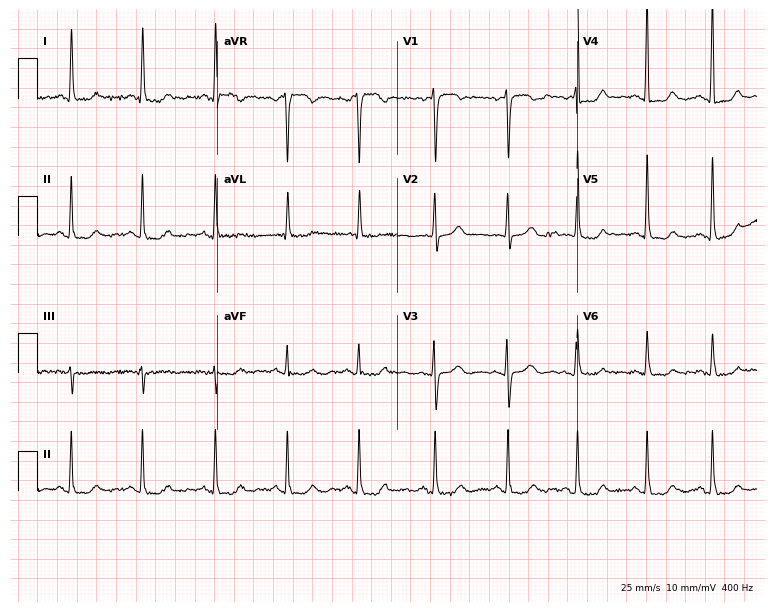
Electrocardiogram (7.3-second recording at 400 Hz), a 74-year-old woman. Of the six screened findings (first-degree AV block, right bundle branch block (RBBB), left bundle branch block (LBBB), sinus bradycardia, atrial fibrillation (AF), sinus tachycardia), none is recorded.